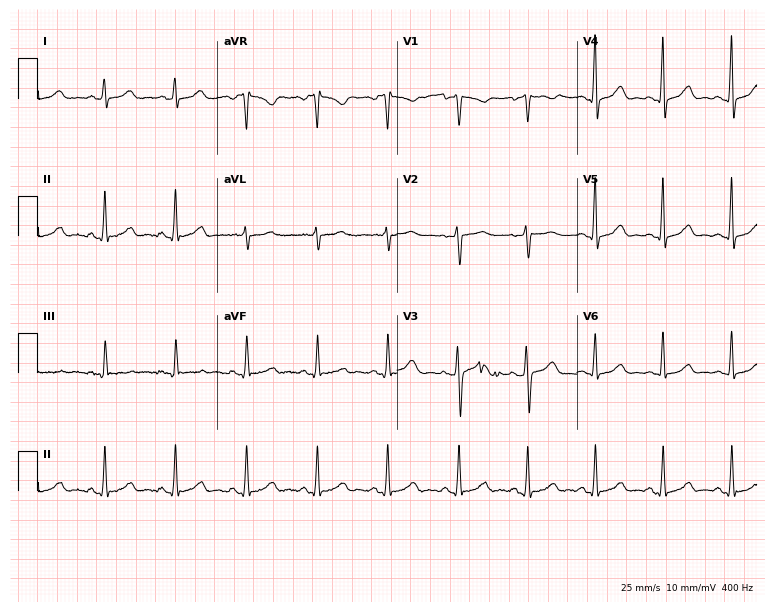
ECG (7.3-second recording at 400 Hz) — a 27-year-old female. Screened for six findings — first-degree AV block, right bundle branch block, left bundle branch block, sinus bradycardia, atrial fibrillation, sinus tachycardia — none is recorded.